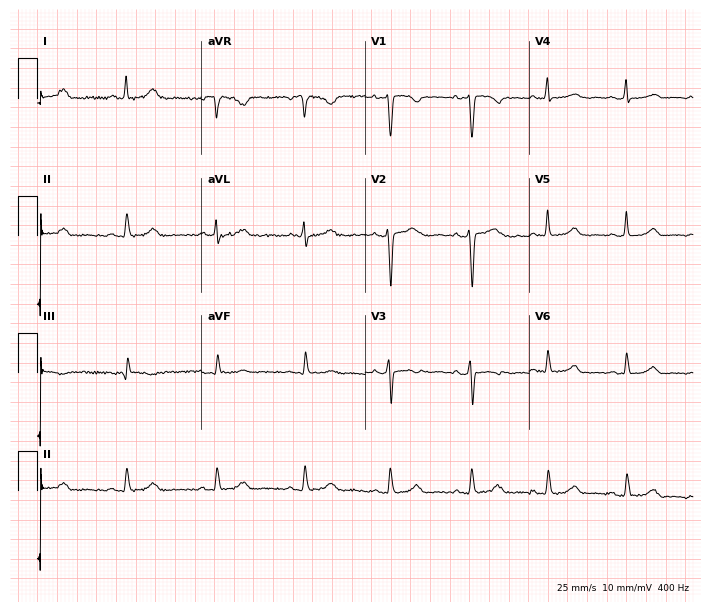
ECG (6.7-second recording at 400 Hz) — a 39-year-old female patient. Screened for six findings — first-degree AV block, right bundle branch block, left bundle branch block, sinus bradycardia, atrial fibrillation, sinus tachycardia — none is recorded. Other findings, if any, are not listed.